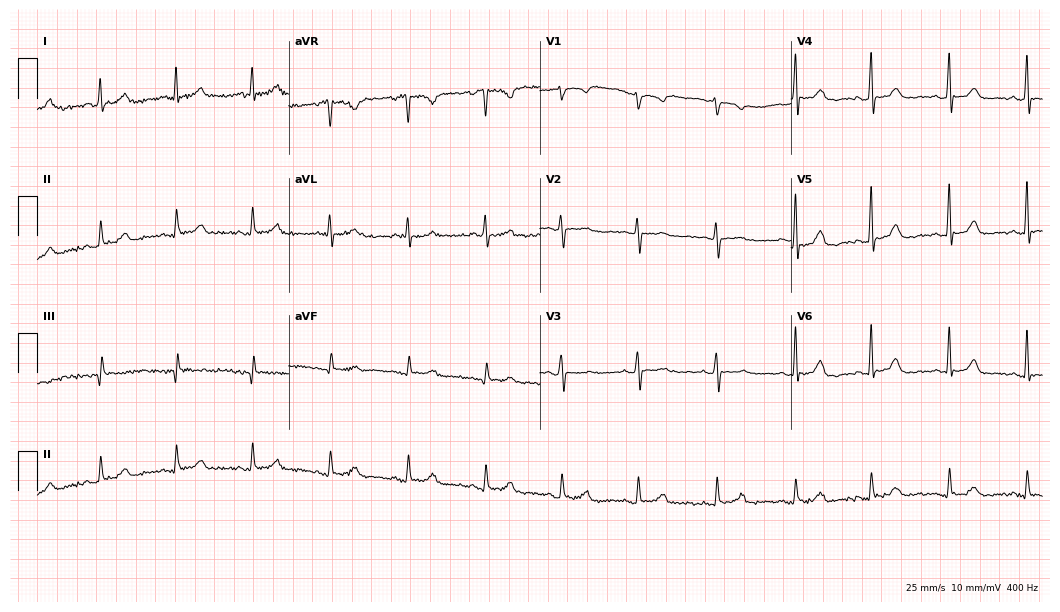
Resting 12-lead electrocardiogram (10.2-second recording at 400 Hz). Patient: a female, 70 years old. Read as a normal ECG.